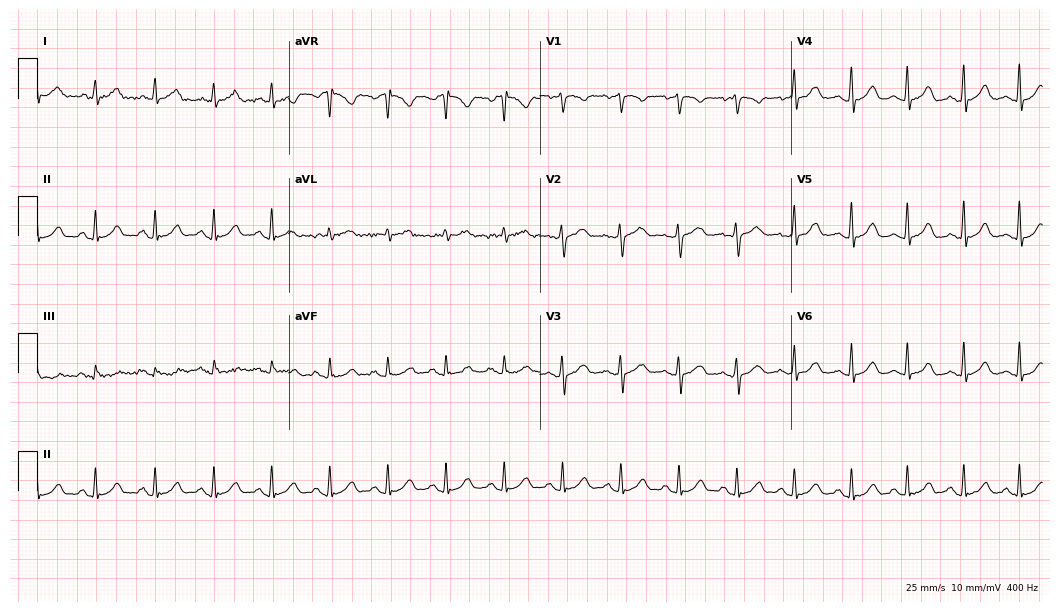
Standard 12-lead ECG recorded from a female patient, 32 years old (10.2-second recording at 400 Hz). The tracing shows sinus tachycardia (a sinus rate of 100 beats per minute or more).